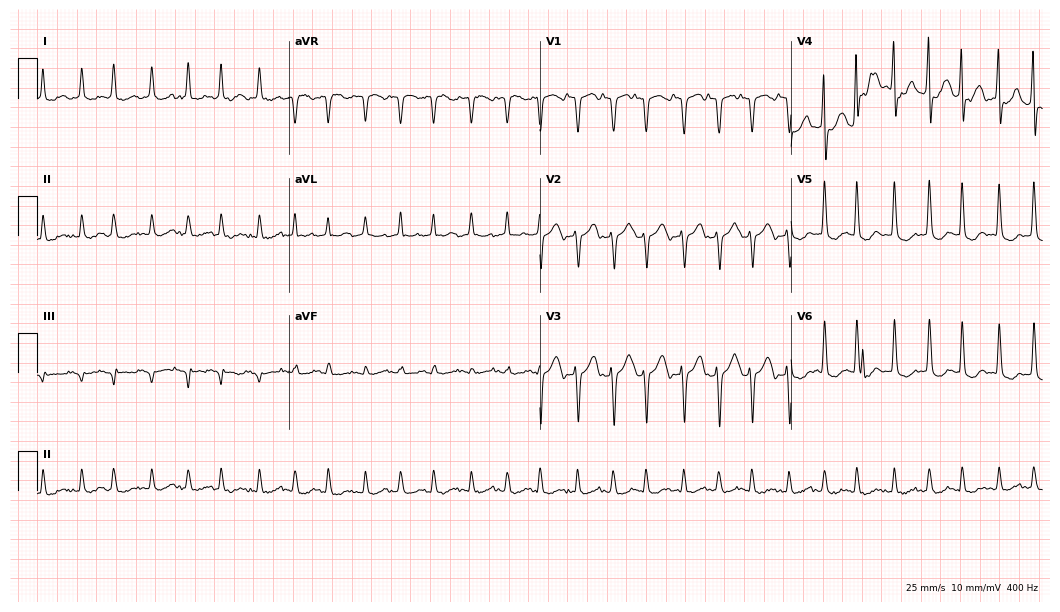
Resting 12-lead electrocardiogram (10.2-second recording at 400 Hz). Patient: a 72-year-old woman. The tracing shows atrial fibrillation (AF).